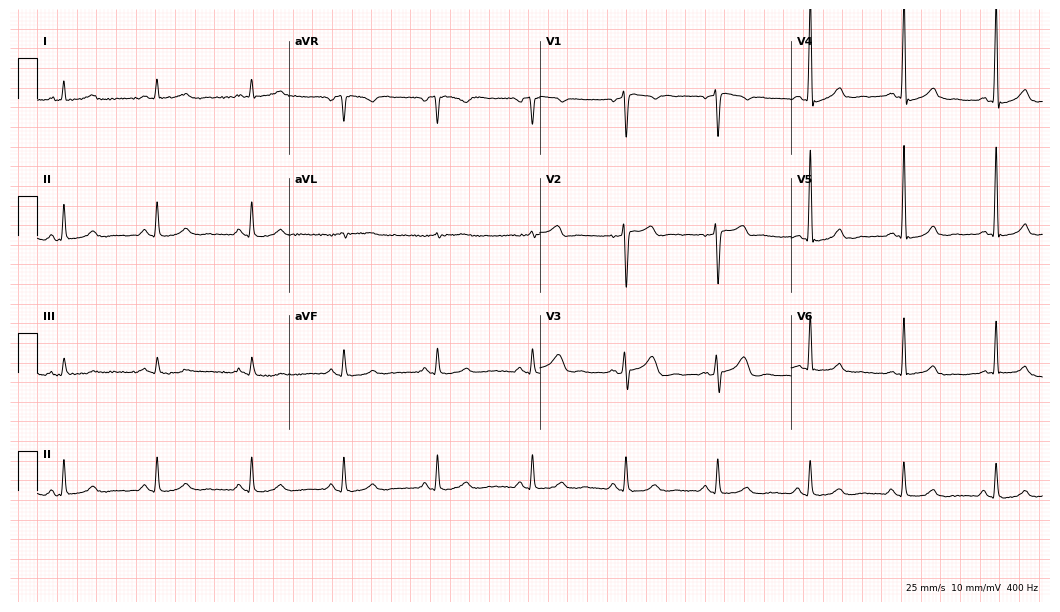
12-lead ECG from a 50-year-old male (10.2-second recording at 400 Hz). Recorded interpretation: within normal limits.